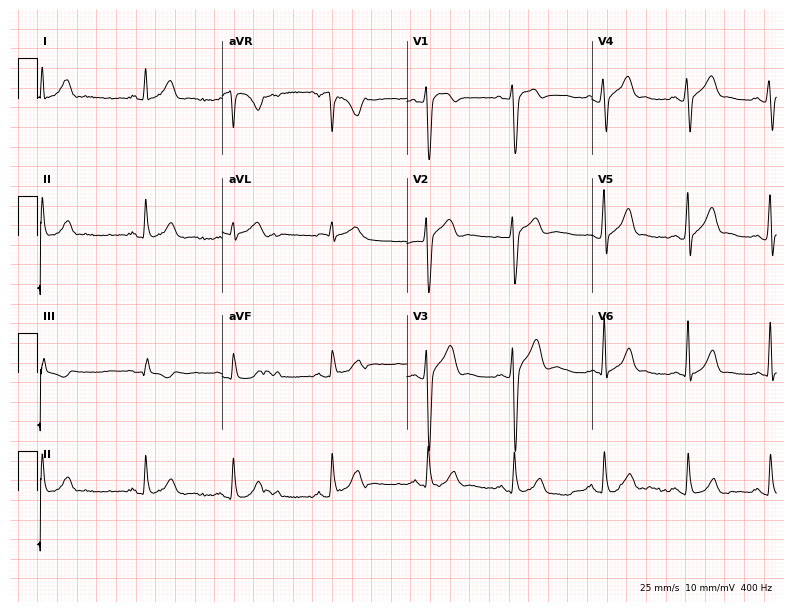
Standard 12-lead ECG recorded from a male, 23 years old (7.5-second recording at 400 Hz). None of these six findings is recorded: first-degree AV block, right bundle branch block, left bundle branch block, sinus bradycardia, atrial fibrillation, sinus tachycardia.